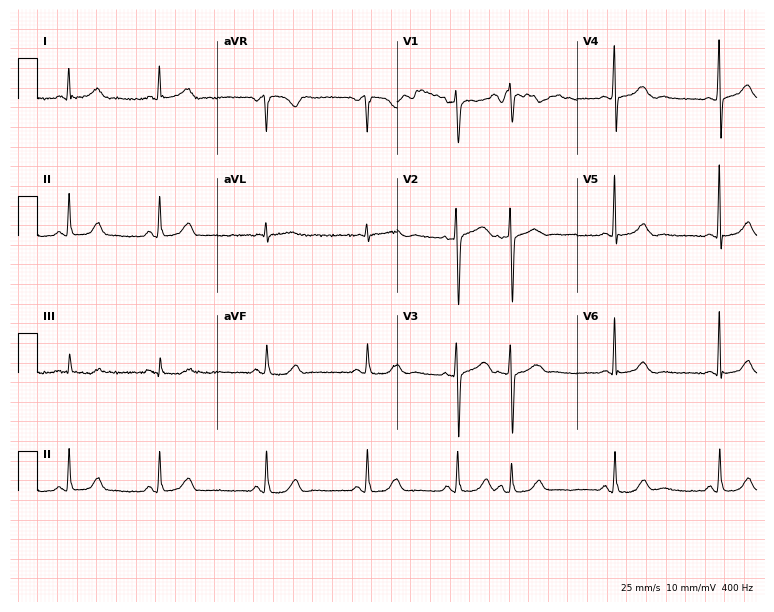
ECG — a woman, 75 years old. Screened for six findings — first-degree AV block, right bundle branch block, left bundle branch block, sinus bradycardia, atrial fibrillation, sinus tachycardia — none is recorded. Other findings, if any, are not listed.